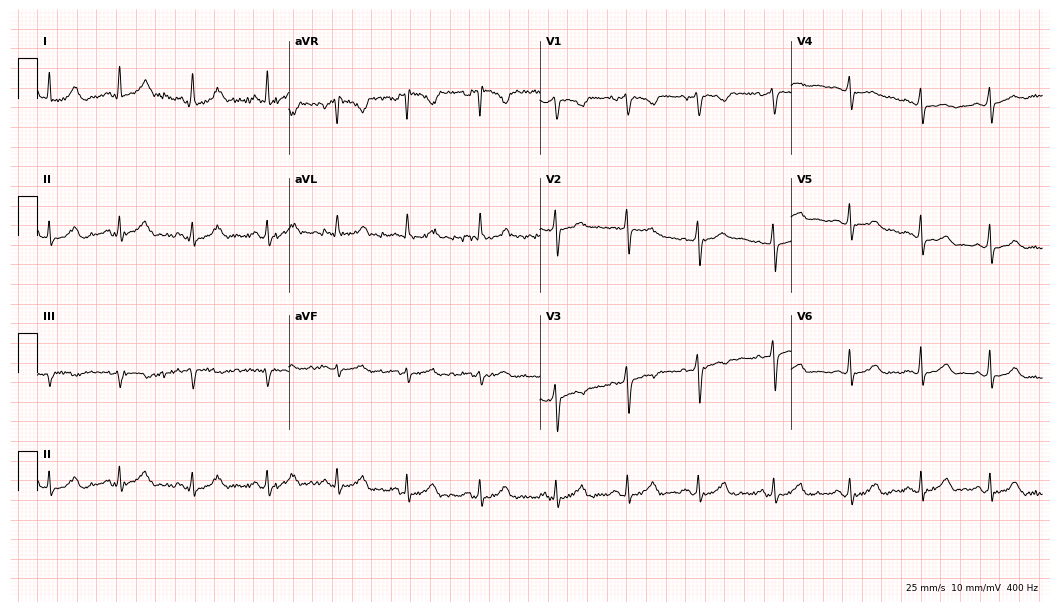
12-lead ECG from a female, 33 years old. Labelled as a normal ECG.